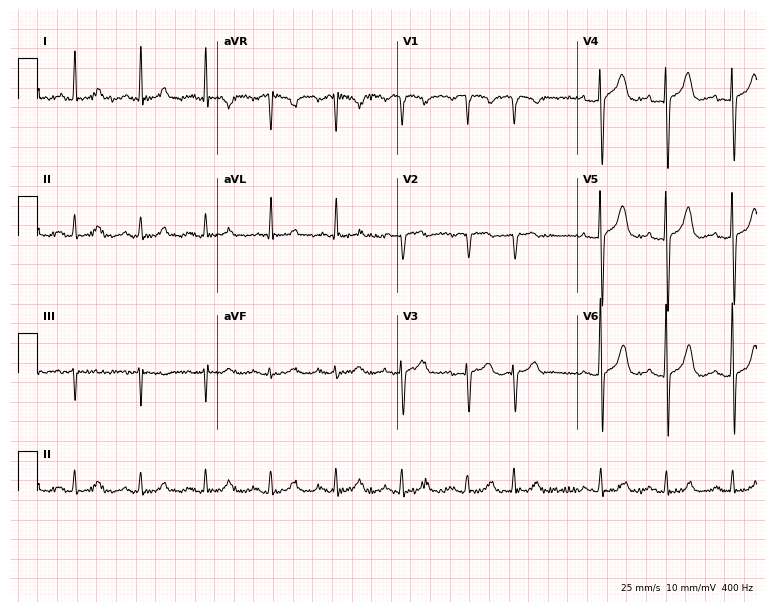
12-lead ECG from a 71-year-old female (7.3-second recording at 400 Hz). No first-degree AV block, right bundle branch block, left bundle branch block, sinus bradycardia, atrial fibrillation or sinus tachycardia recorded for this tracing. Other findings, if any, are not listed.